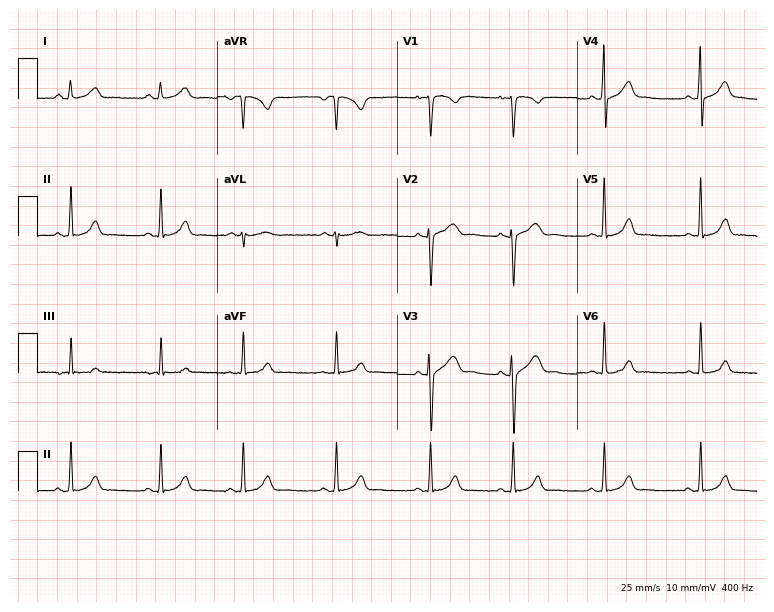
Resting 12-lead electrocardiogram. Patient: an 18-year-old woman. None of these six findings is recorded: first-degree AV block, right bundle branch block (RBBB), left bundle branch block (LBBB), sinus bradycardia, atrial fibrillation (AF), sinus tachycardia.